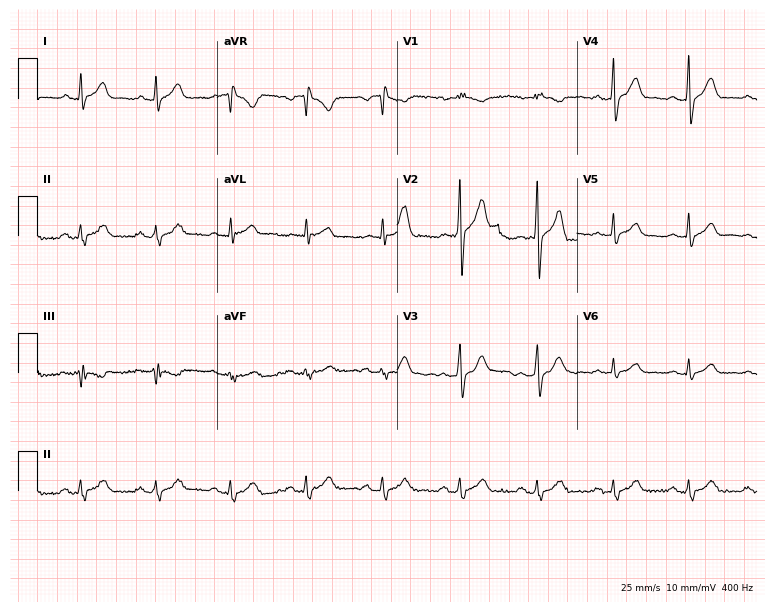
12-lead ECG from a male patient, 59 years old. Screened for six findings — first-degree AV block, right bundle branch block, left bundle branch block, sinus bradycardia, atrial fibrillation, sinus tachycardia — none is recorded.